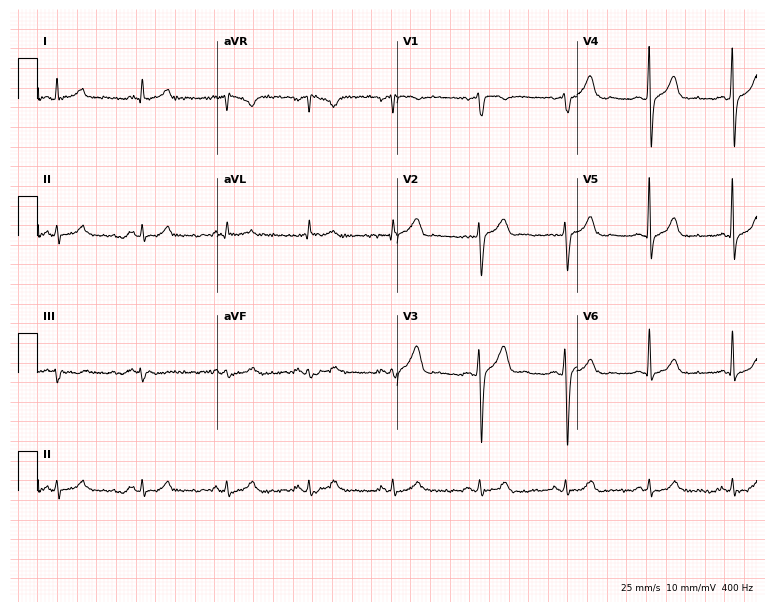
12-lead ECG from a male patient, 40 years old (7.3-second recording at 400 Hz). No first-degree AV block, right bundle branch block (RBBB), left bundle branch block (LBBB), sinus bradycardia, atrial fibrillation (AF) or sinus tachycardia recorded for this tracing. Other findings, if any, are not listed.